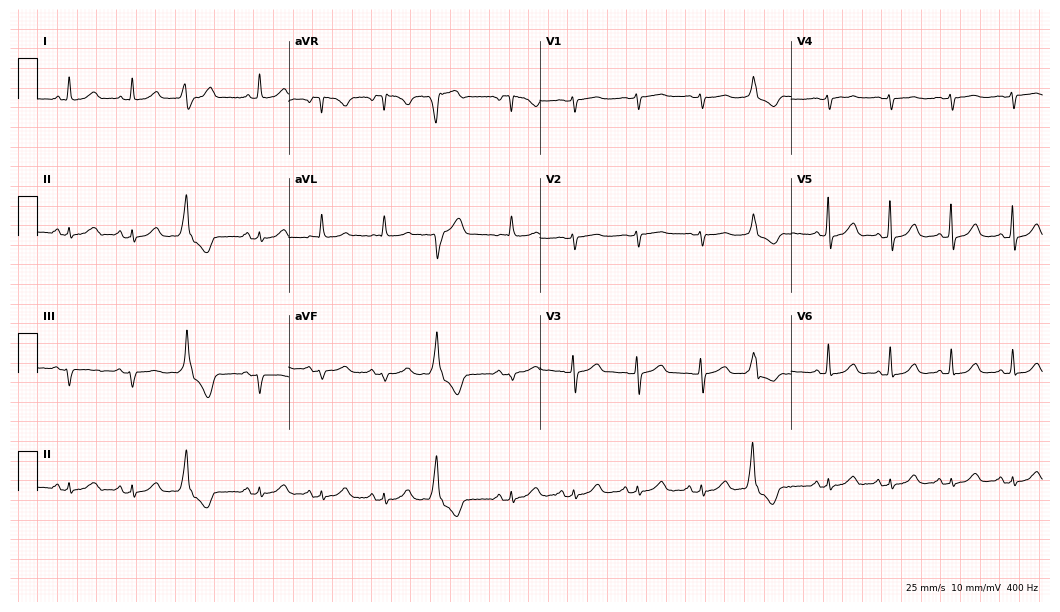
ECG — a female, 73 years old. Screened for six findings — first-degree AV block, right bundle branch block, left bundle branch block, sinus bradycardia, atrial fibrillation, sinus tachycardia — none is recorded.